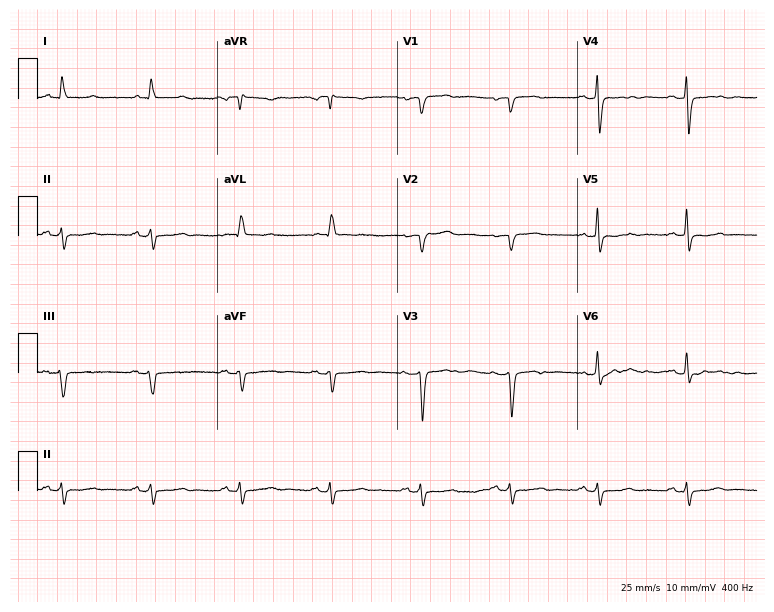
Electrocardiogram, a female, 73 years old. Of the six screened findings (first-degree AV block, right bundle branch block (RBBB), left bundle branch block (LBBB), sinus bradycardia, atrial fibrillation (AF), sinus tachycardia), none is recorded. Findings outside these six are not listed.